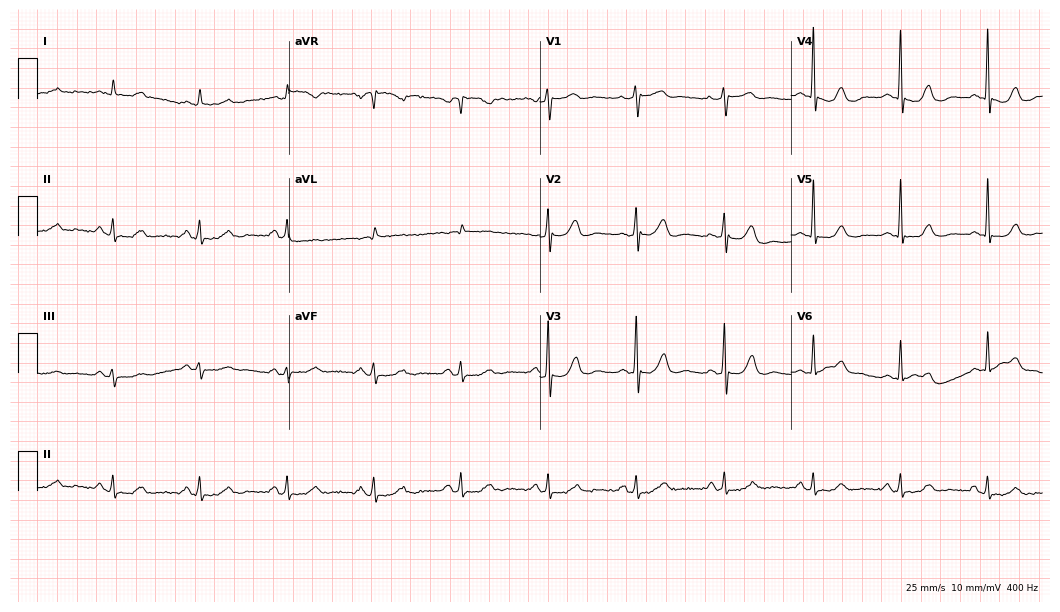
ECG — a female patient, 74 years old. Labelled as a normal ECG.